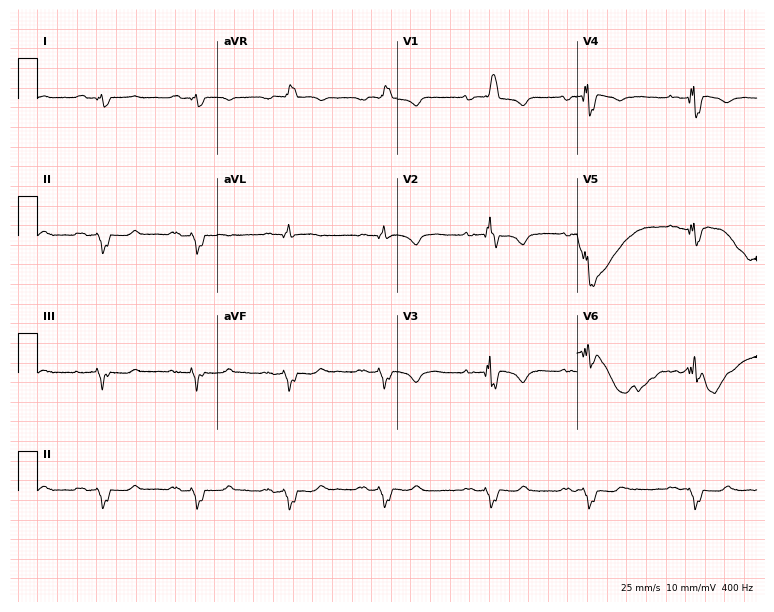
12-lead ECG (7.3-second recording at 400 Hz) from a male patient, 48 years old. Findings include right bundle branch block (RBBB).